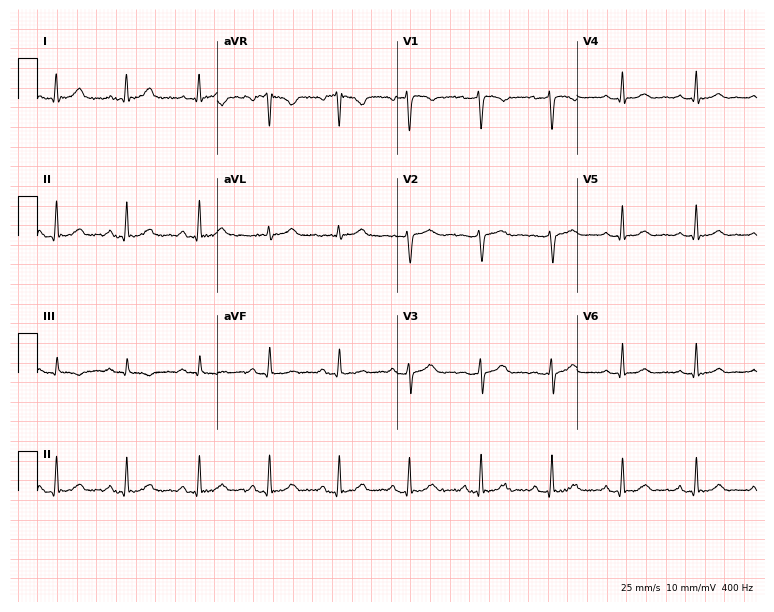
ECG — a 45-year-old female. Labelled as a normal ECG.